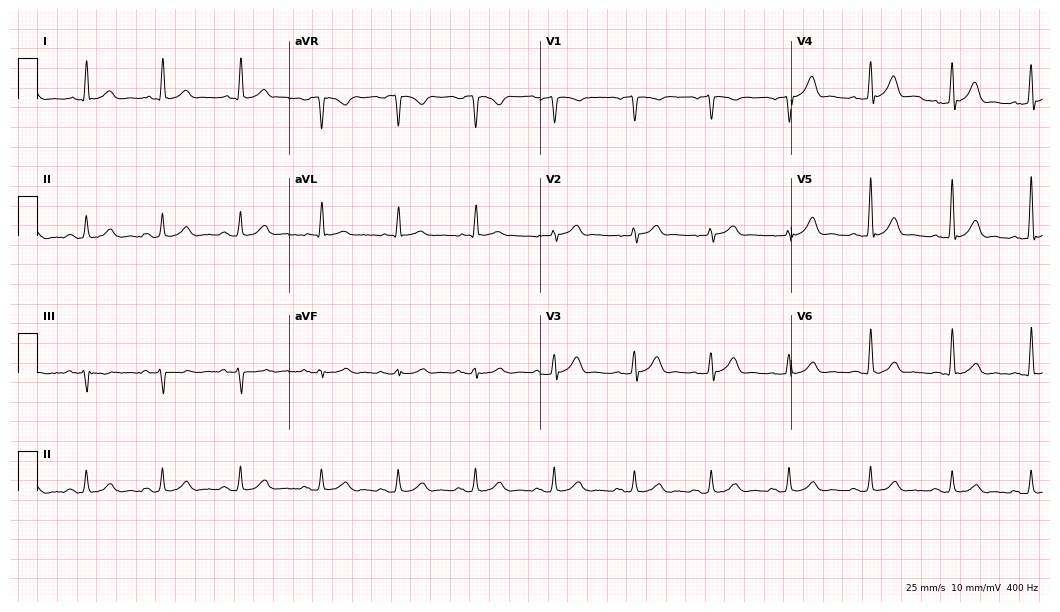
12-lead ECG from a male, 61 years old. Labelled as a normal ECG.